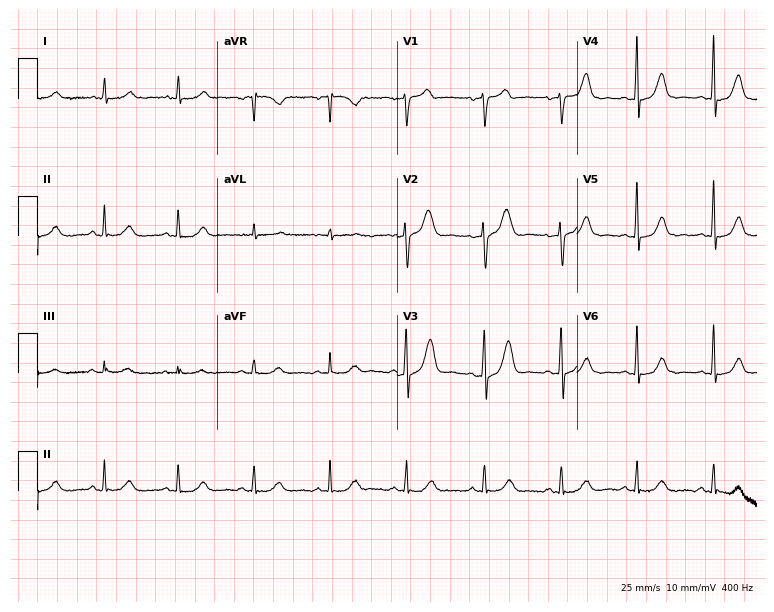
Resting 12-lead electrocardiogram. Patient: a 46-year-old female. Read as a normal ECG.